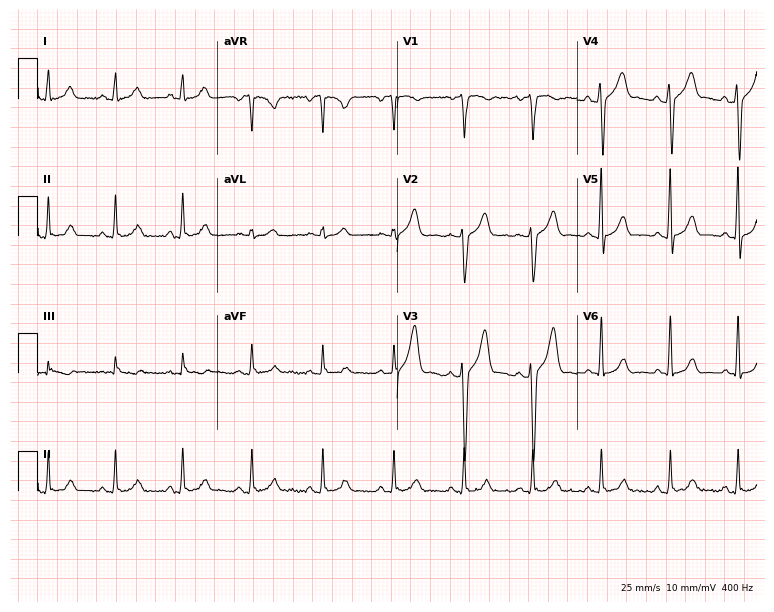
Resting 12-lead electrocardiogram (7.3-second recording at 400 Hz). Patient: a 33-year-old man. None of these six findings is recorded: first-degree AV block, right bundle branch block, left bundle branch block, sinus bradycardia, atrial fibrillation, sinus tachycardia. Findings outside these six are not listed.